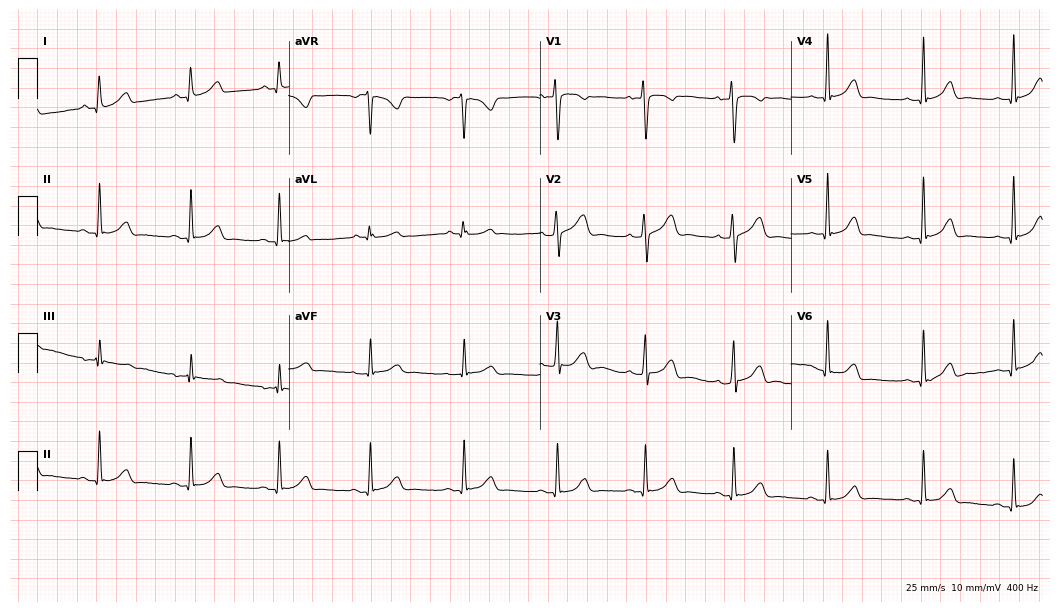
Resting 12-lead electrocardiogram. Patient: a female, 23 years old. Read as a normal ECG.